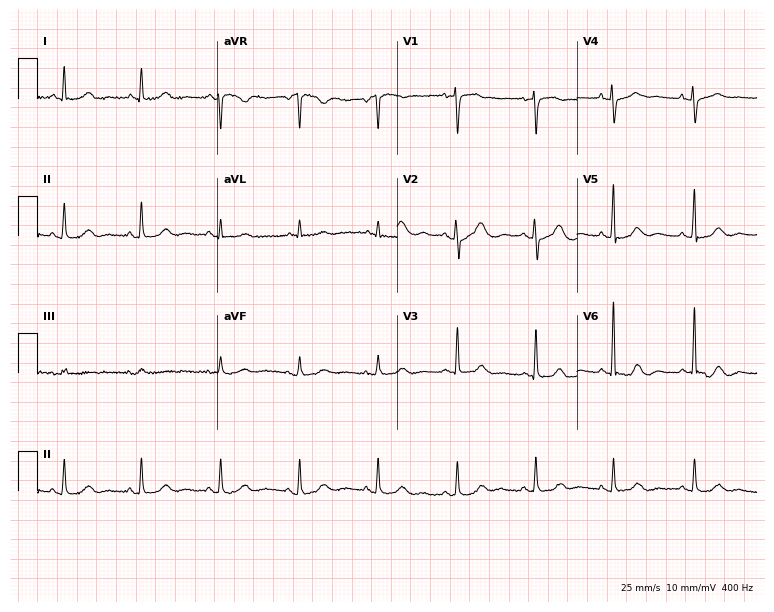
Resting 12-lead electrocardiogram (7.3-second recording at 400 Hz). Patient: a female, 73 years old. Read as a normal ECG.